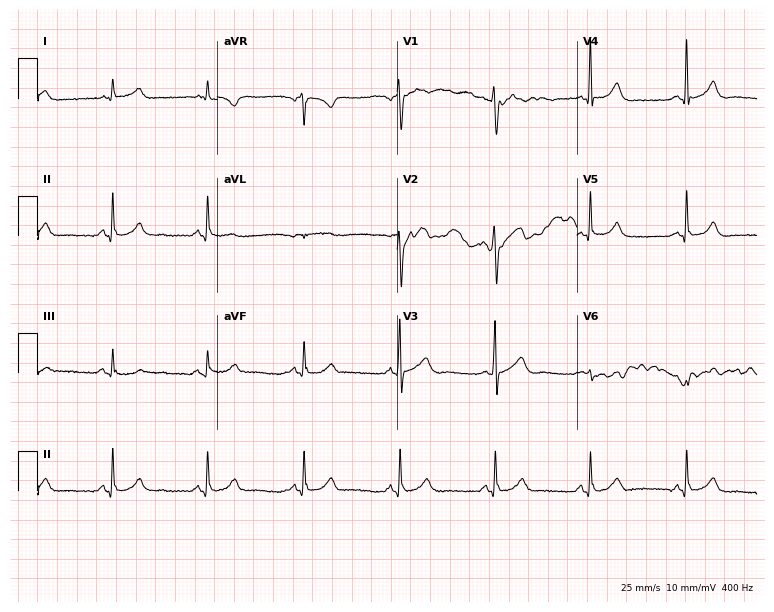
Electrocardiogram, a man, 49 years old. Overall reading on record: normal ECG.